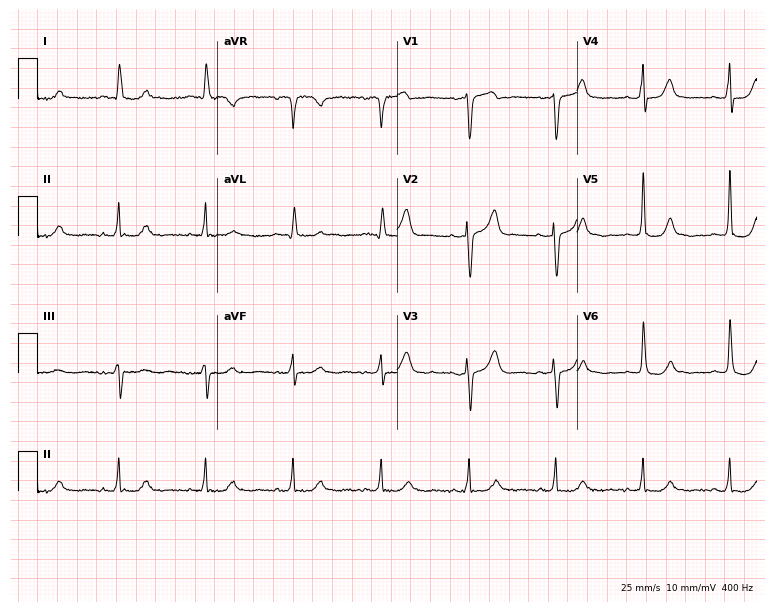
12-lead ECG from a 67-year-old female (7.3-second recording at 400 Hz). No first-degree AV block, right bundle branch block, left bundle branch block, sinus bradycardia, atrial fibrillation or sinus tachycardia recorded for this tracing. Findings outside these six are not listed.